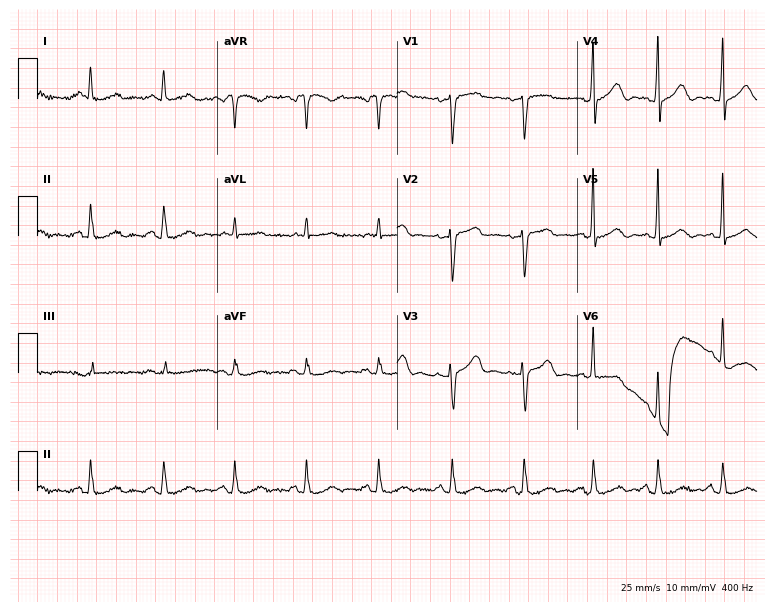
12-lead ECG (7.3-second recording at 400 Hz) from a 71-year-old woman. Labelled as a normal ECG.